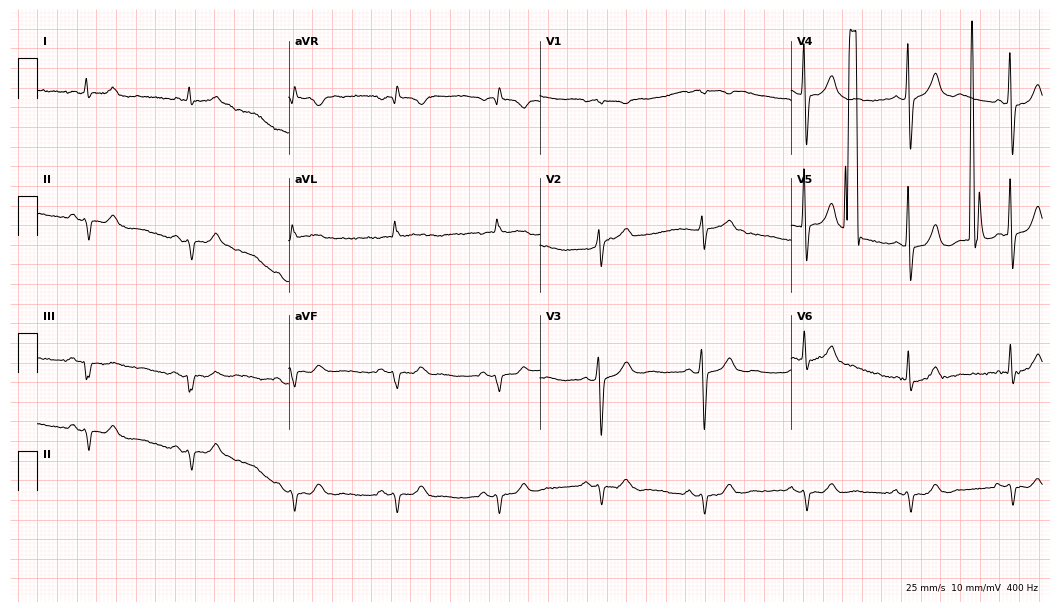
Resting 12-lead electrocardiogram (10.2-second recording at 400 Hz). Patient: an 84-year-old male. None of these six findings is recorded: first-degree AV block, right bundle branch block (RBBB), left bundle branch block (LBBB), sinus bradycardia, atrial fibrillation (AF), sinus tachycardia.